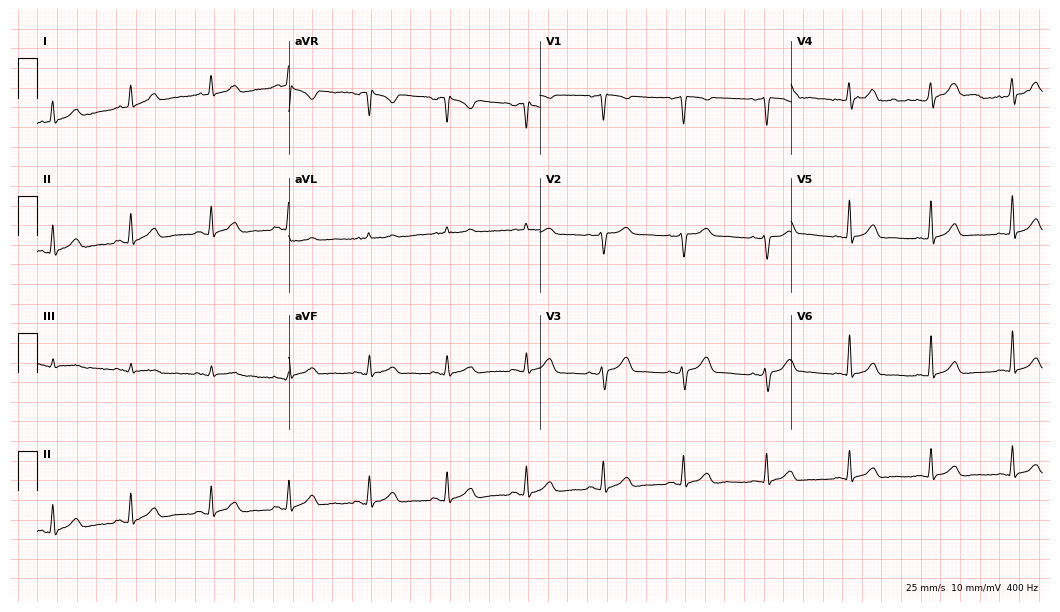
12-lead ECG from a woman, 38 years old (10.2-second recording at 400 Hz). Recorded interpretation: within normal limits.